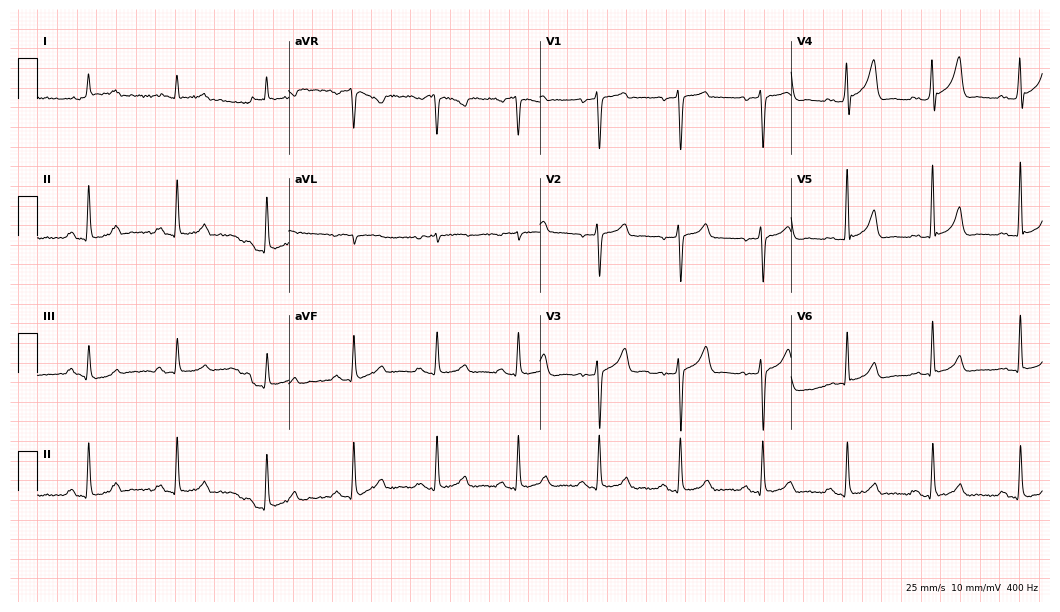
Resting 12-lead electrocardiogram. Patient: a male, 36 years old. Read as a normal ECG.